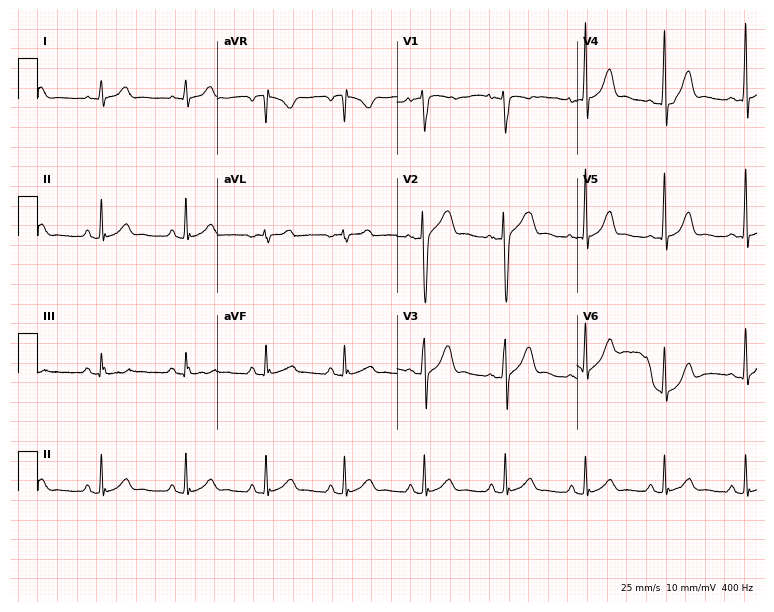
Standard 12-lead ECG recorded from a 31-year-old man. Read as a normal ECG.